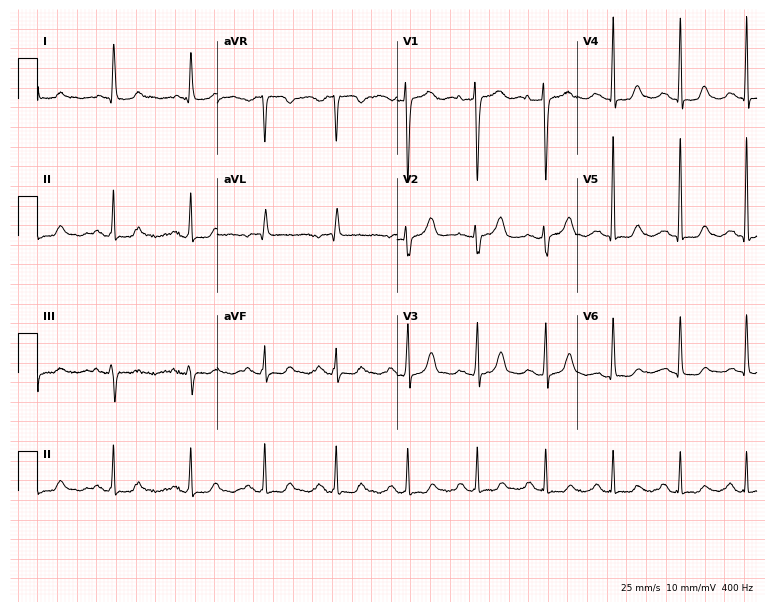
Standard 12-lead ECG recorded from a 71-year-old female patient. None of these six findings is recorded: first-degree AV block, right bundle branch block, left bundle branch block, sinus bradycardia, atrial fibrillation, sinus tachycardia.